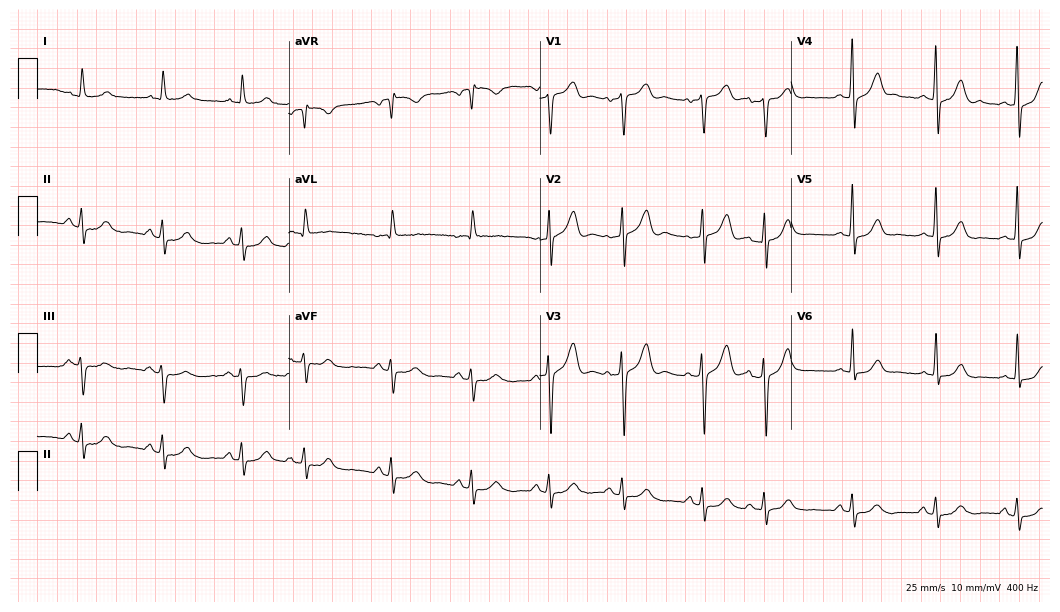
12-lead ECG (10.2-second recording at 400 Hz) from a 70-year-old male patient. Screened for six findings — first-degree AV block, right bundle branch block (RBBB), left bundle branch block (LBBB), sinus bradycardia, atrial fibrillation (AF), sinus tachycardia — none is recorded.